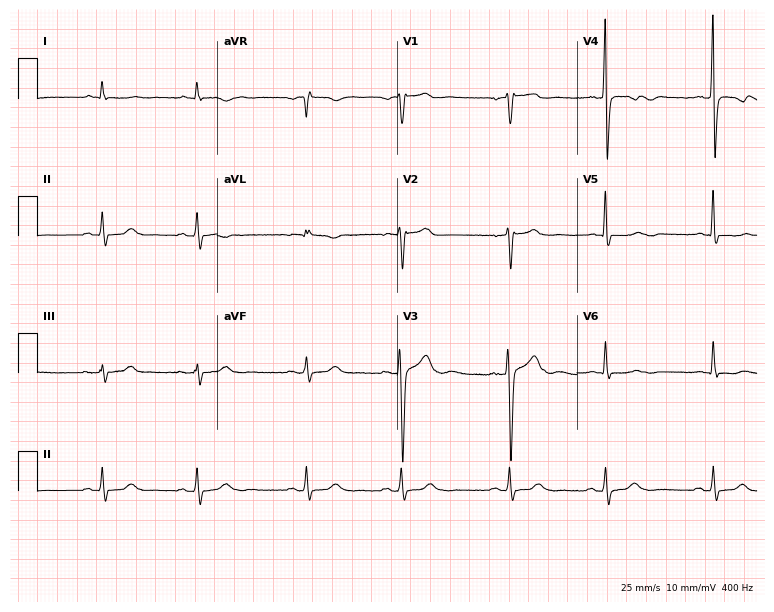
ECG (7.3-second recording at 400 Hz) — a male, 75 years old. Screened for six findings — first-degree AV block, right bundle branch block (RBBB), left bundle branch block (LBBB), sinus bradycardia, atrial fibrillation (AF), sinus tachycardia — none is recorded. Other findings, if any, are not listed.